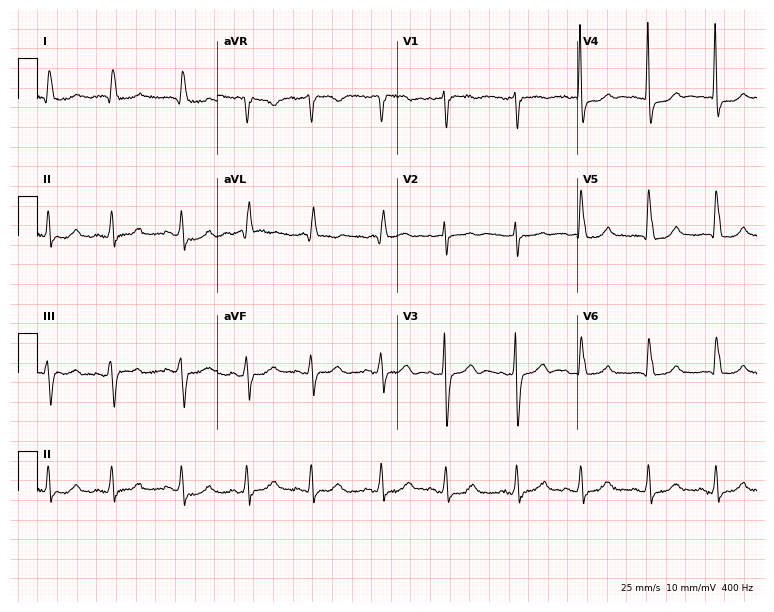
Electrocardiogram (7.3-second recording at 400 Hz), a female, 82 years old. Of the six screened findings (first-degree AV block, right bundle branch block, left bundle branch block, sinus bradycardia, atrial fibrillation, sinus tachycardia), none is recorded.